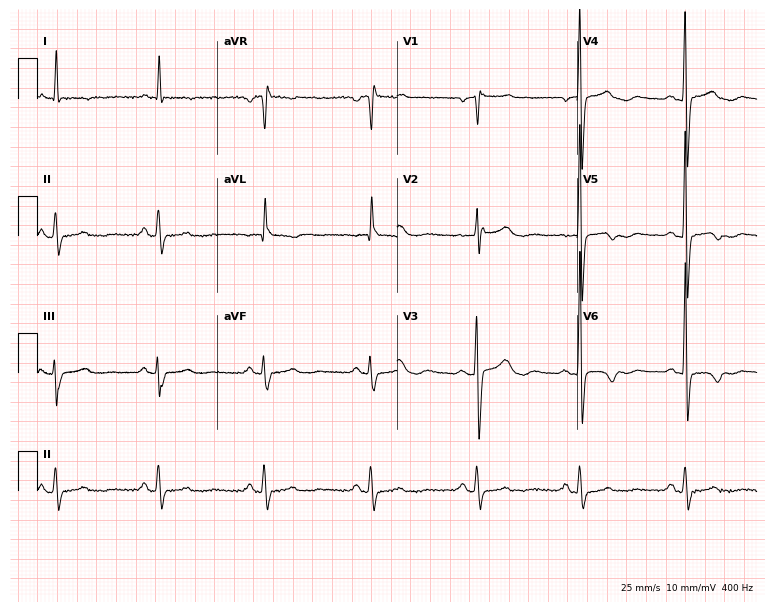
12-lead ECG from a 76-year-old woman. No first-degree AV block, right bundle branch block, left bundle branch block, sinus bradycardia, atrial fibrillation or sinus tachycardia recorded for this tracing. Findings outside these six are not listed.